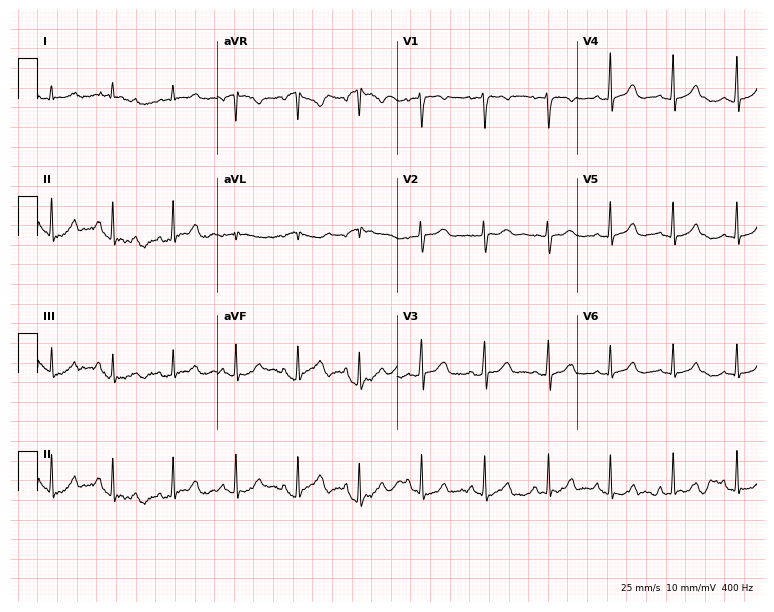
ECG (7.3-second recording at 400 Hz) — a woman, 19 years old. Labelled as a normal ECG.